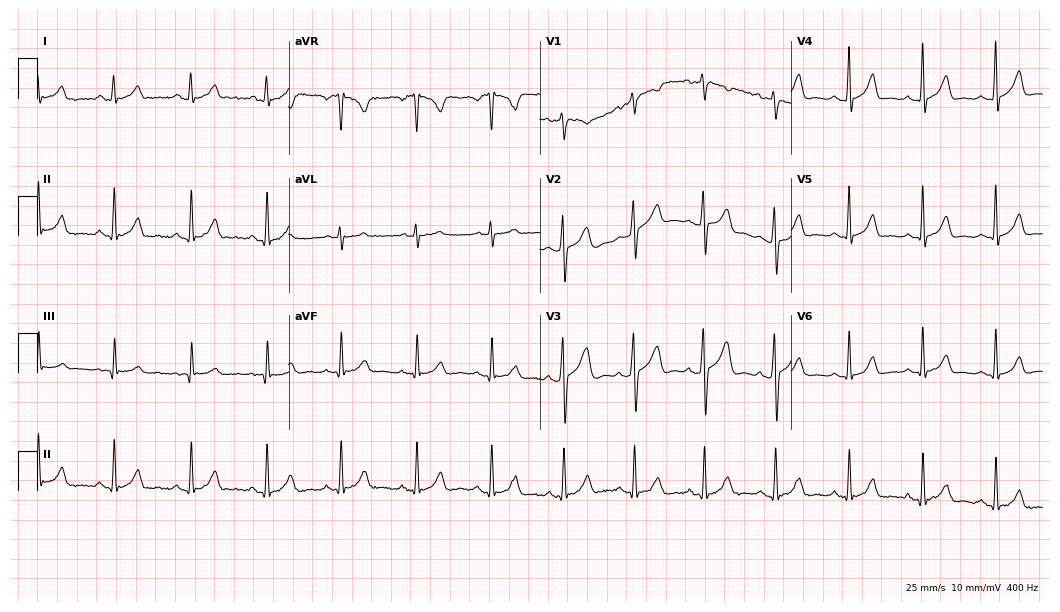
Resting 12-lead electrocardiogram. Patient: a 20-year-old woman. Read as a normal ECG.